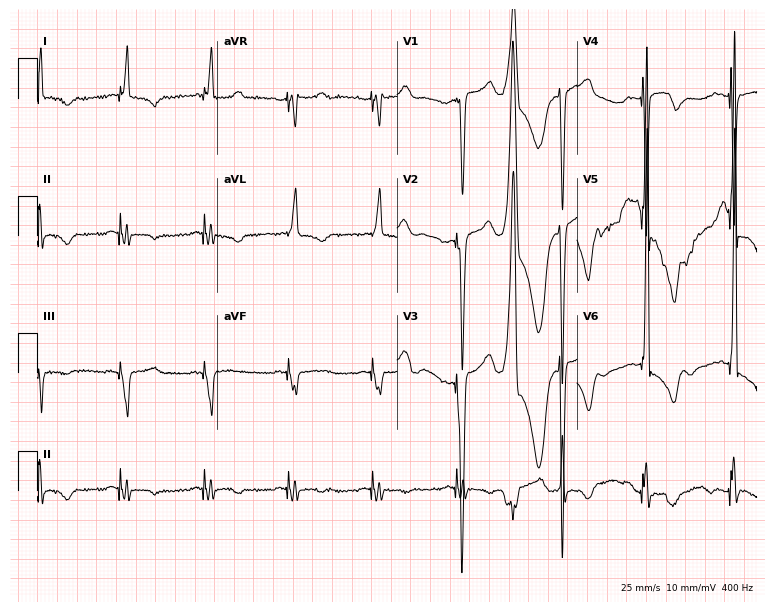
Electrocardiogram (7.3-second recording at 400 Hz), a male patient, 85 years old. Of the six screened findings (first-degree AV block, right bundle branch block (RBBB), left bundle branch block (LBBB), sinus bradycardia, atrial fibrillation (AF), sinus tachycardia), none is recorded.